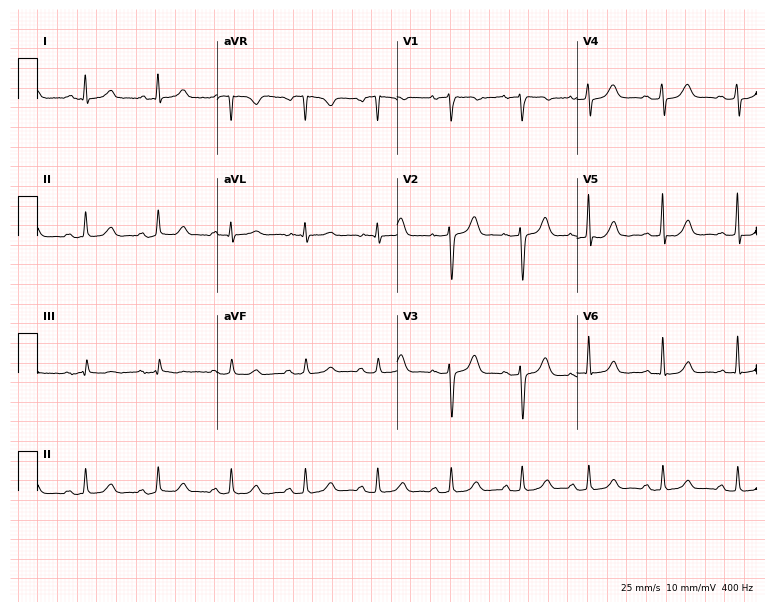
ECG — a 47-year-old female patient. Screened for six findings — first-degree AV block, right bundle branch block (RBBB), left bundle branch block (LBBB), sinus bradycardia, atrial fibrillation (AF), sinus tachycardia — none is recorded. Only these six findings were labelled.